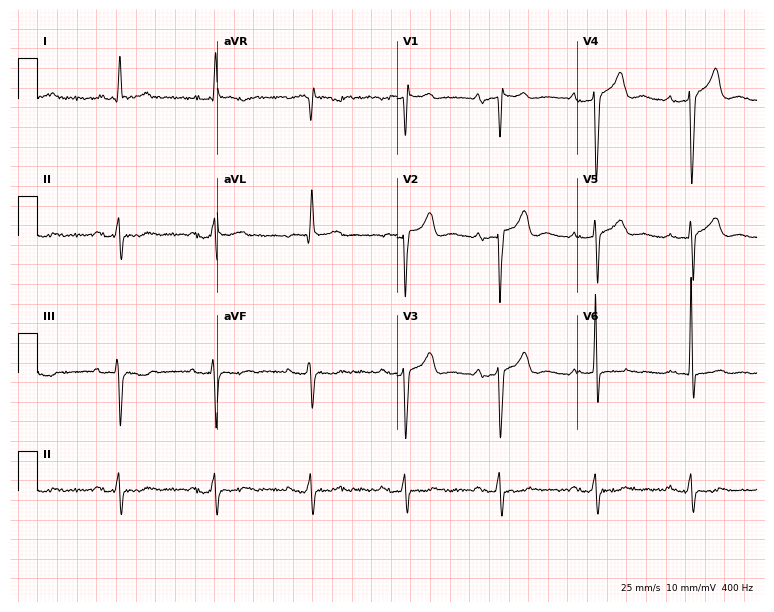
Standard 12-lead ECG recorded from a man, 67 years old. None of these six findings is recorded: first-degree AV block, right bundle branch block, left bundle branch block, sinus bradycardia, atrial fibrillation, sinus tachycardia. Only these six findings were labelled.